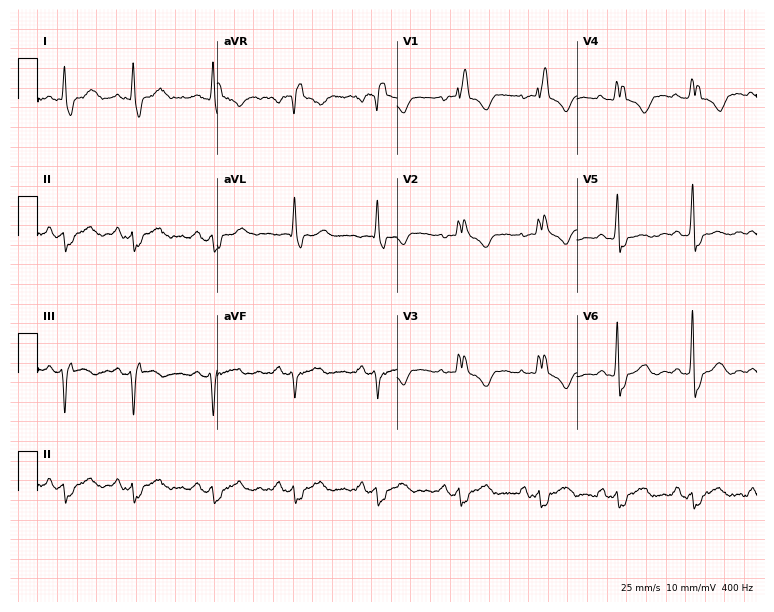
12-lead ECG from a woman, 47 years old (7.3-second recording at 400 Hz). Shows right bundle branch block.